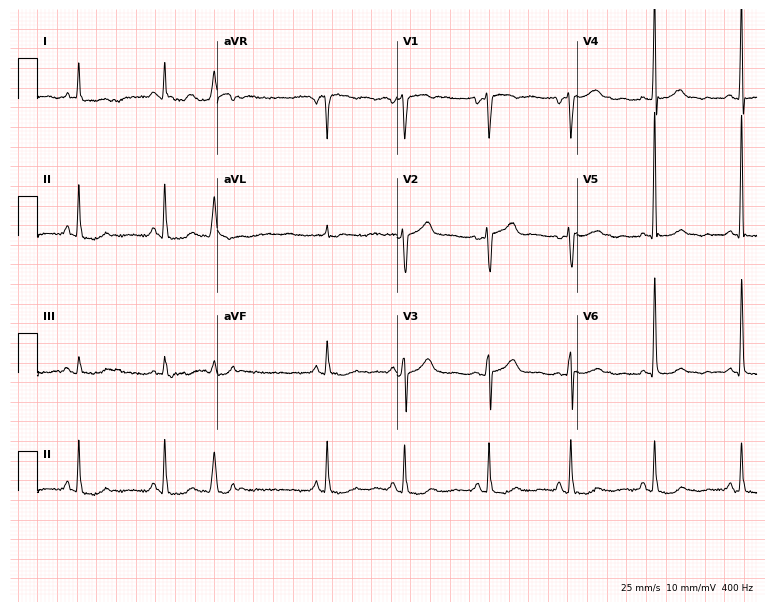
12-lead ECG from a 76-year-old woman. No first-degree AV block, right bundle branch block (RBBB), left bundle branch block (LBBB), sinus bradycardia, atrial fibrillation (AF) or sinus tachycardia recorded for this tracing.